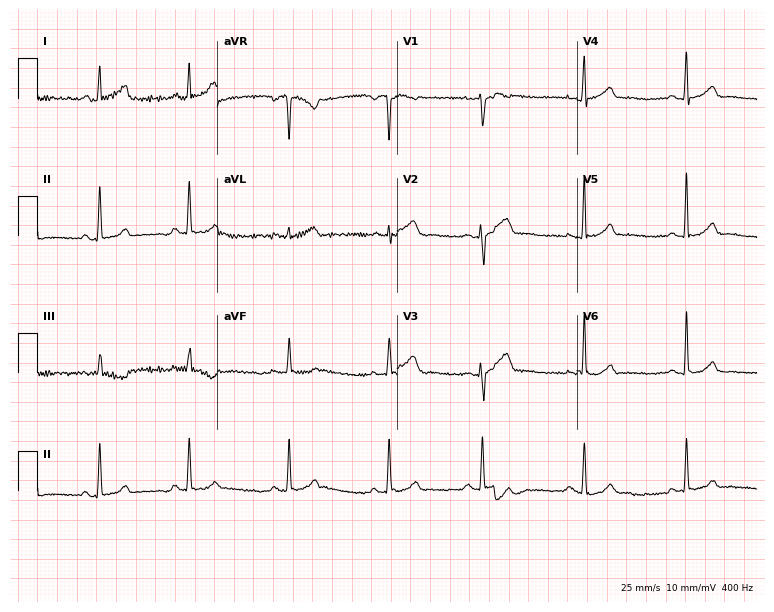
Standard 12-lead ECG recorded from a woman, 28 years old. None of these six findings is recorded: first-degree AV block, right bundle branch block (RBBB), left bundle branch block (LBBB), sinus bradycardia, atrial fibrillation (AF), sinus tachycardia.